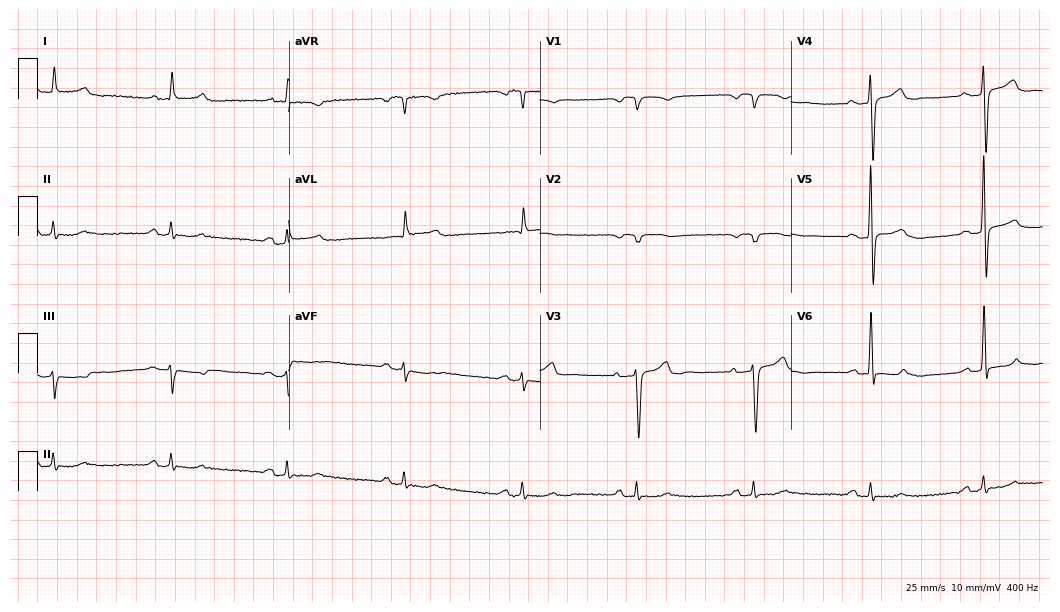
Electrocardiogram (10.2-second recording at 400 Hz), a male, 84 years old. Interpretation includes sinus bradycardia (a sinus rate of 50 beats per minute or less).